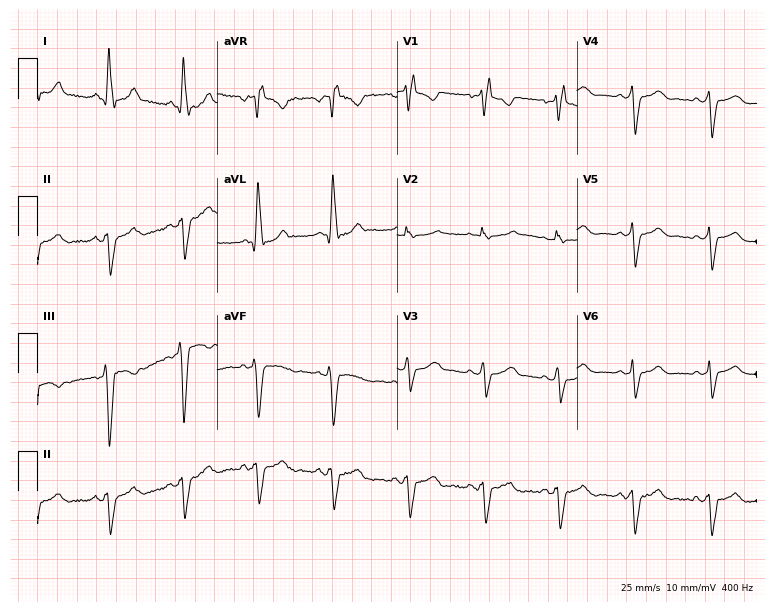
12-lead ECG from a female patient, 42 years old (7.3-second recording at 400 Hz). Shows right bundle branch block.